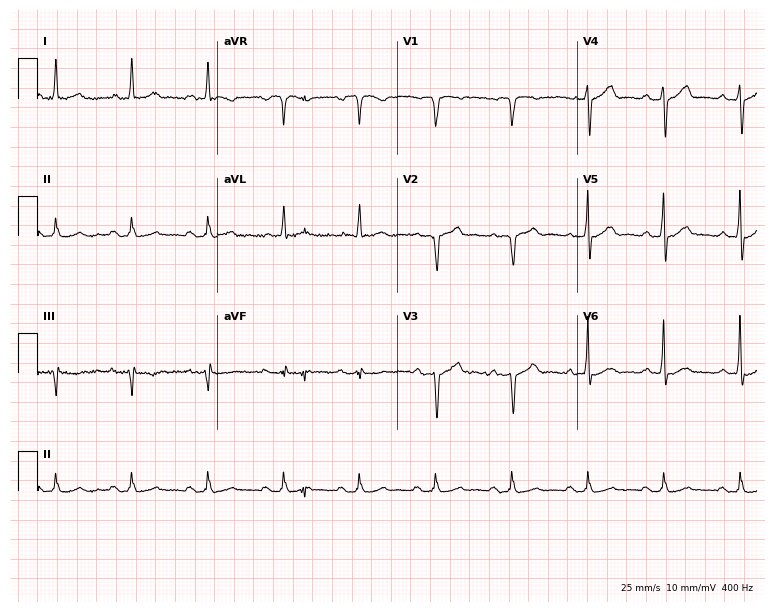
Resting 12-lead electrocardiogram (7.3-second recording at 400 Hz). Patient: a 73-year-old man. Read as a normal ECG.